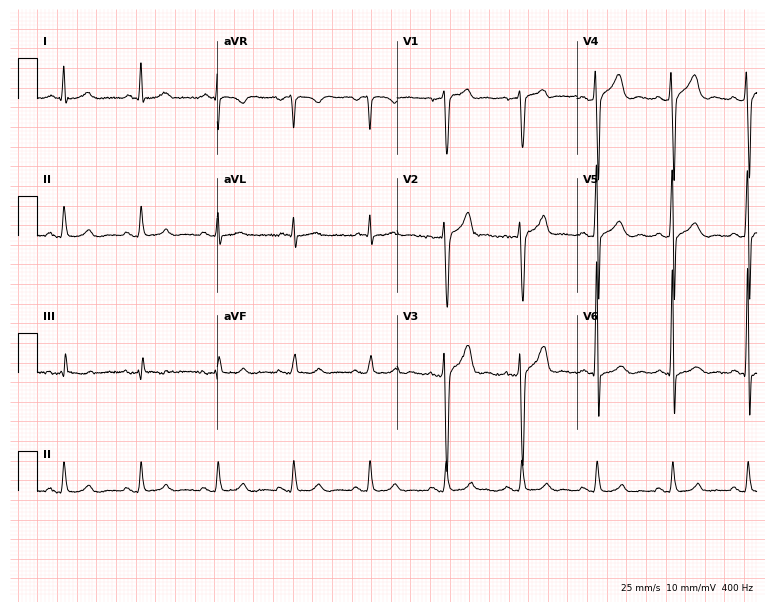
12-lead ECG from a 41-year-old man (7.3-second recording at 400 Hz). No first-degree AV block, right bundle branch block, left bundle branch block, sinus bradycardia, atrial fibrillation or sinus tachycardia recorded for this tracing. Findings outside these six are not listed.